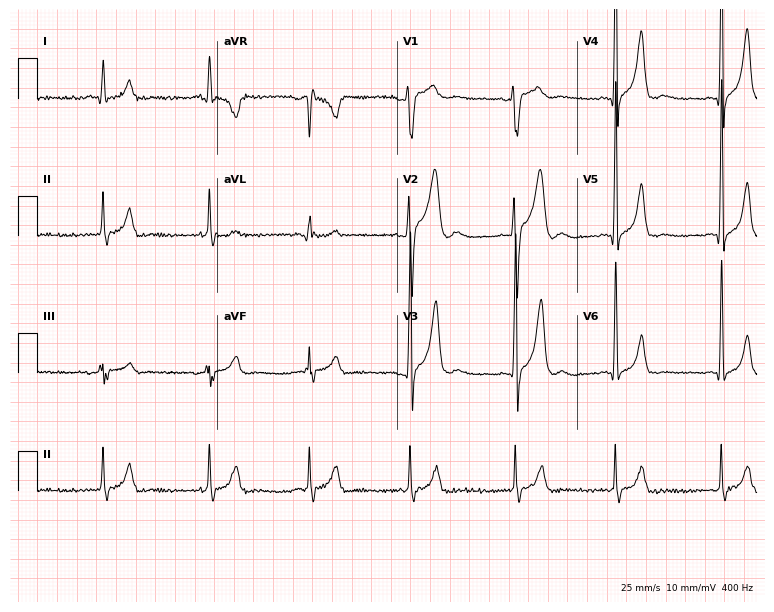
Standard 12-lead ECG recorded from a 20-year-old male patient. Read as a normal ECG.